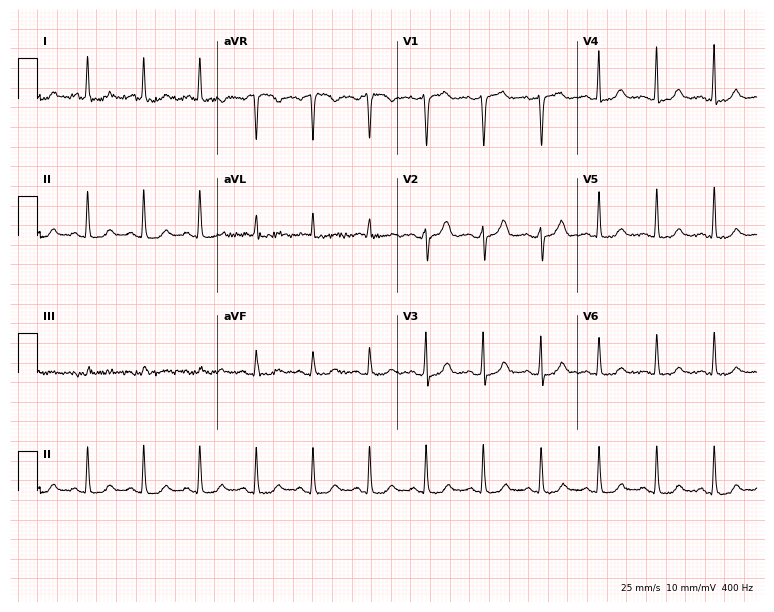
Standard 12-lead ECG recorded from a 58-year-old female (7.3-second recording at 400 Hz). The tracing shows sinus tachycardia (a sinus rate of 100 beats per minute or more).